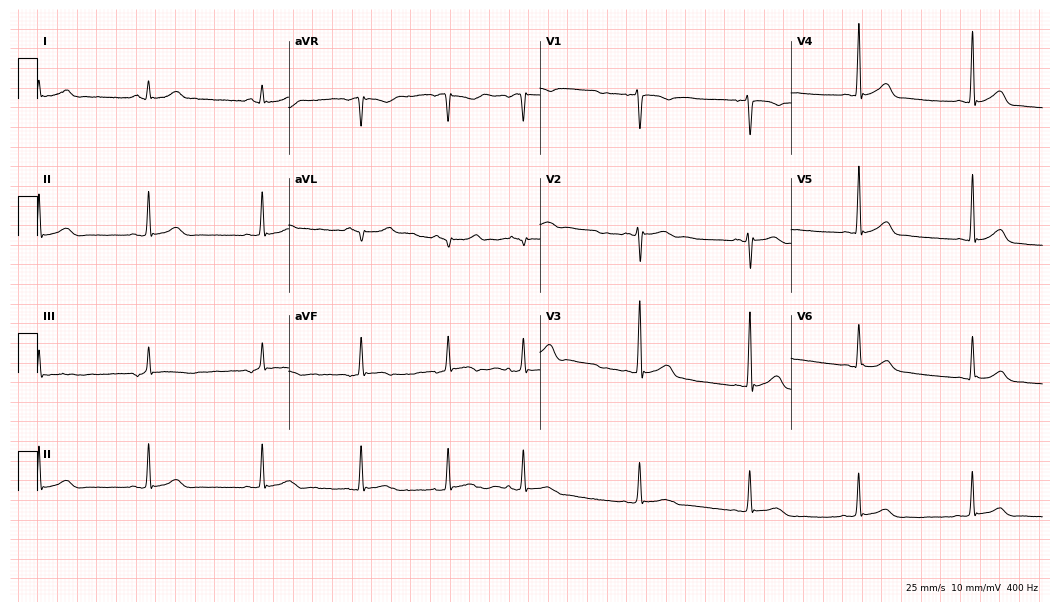
Resting 12-lead electrocardiogram. Patient: a 25-year-old male. Read as a normal ECG.